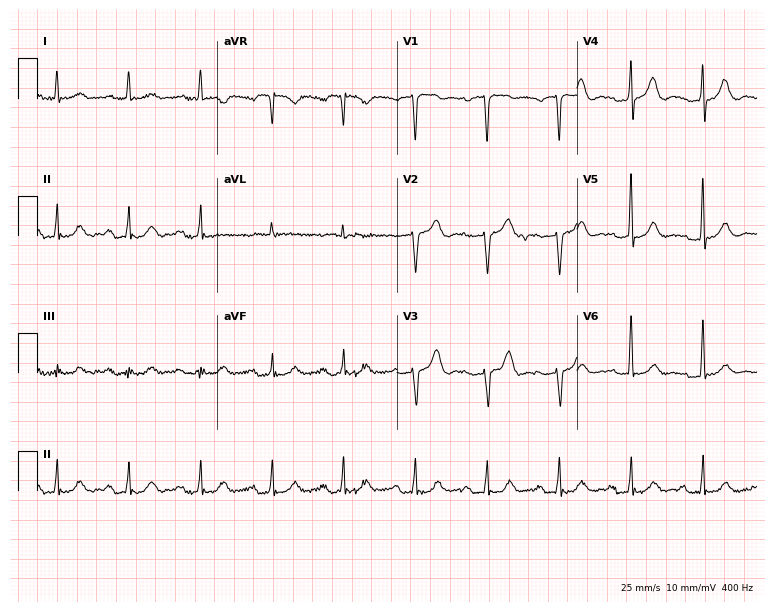
Resting 12-lead electrocardiogram. Patient: an 83-year-old male. The tracing shows first-degree AV block.